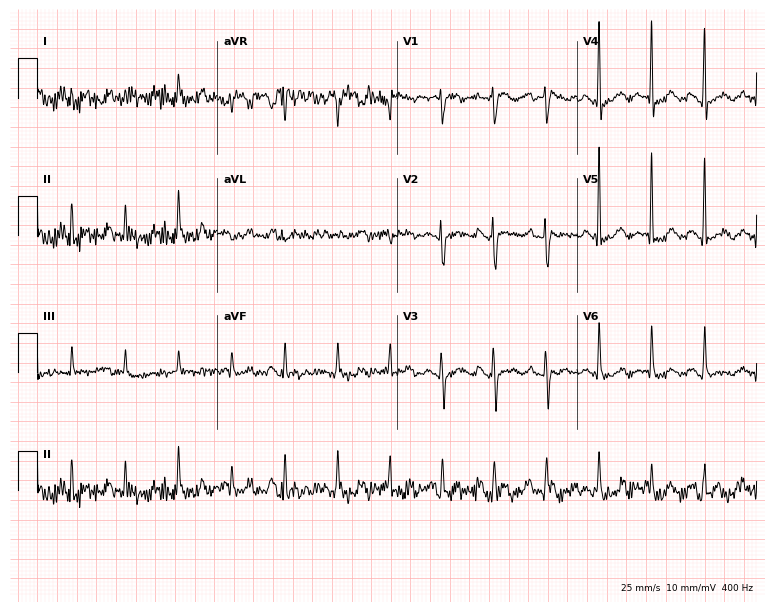
12-lead ECG from a 77-year-old woman. No first-degree AV block, right bundle branch block, left bundle branch block, sinus bradycardia, atrial fibrillation or sinus tachycardia recorded for this tracing.